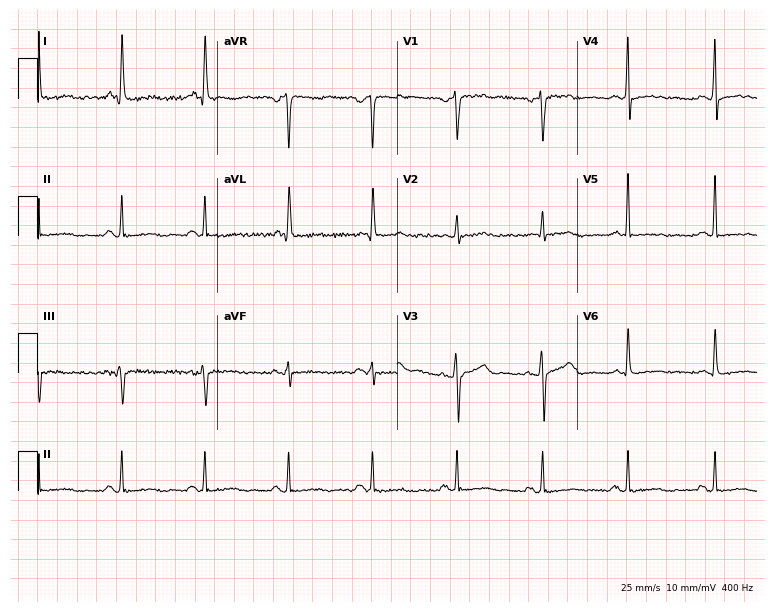
12-lead ECG (7.3-second recording at 400 Hz) from a 57-year-old male. Screened for six findings — first-degree AV block, right bundle branch block, left bundle branch block, sinus bradycardia, atrial fibrillation, sinus tachycardia — none is recorded. Only these six findings were labelled.